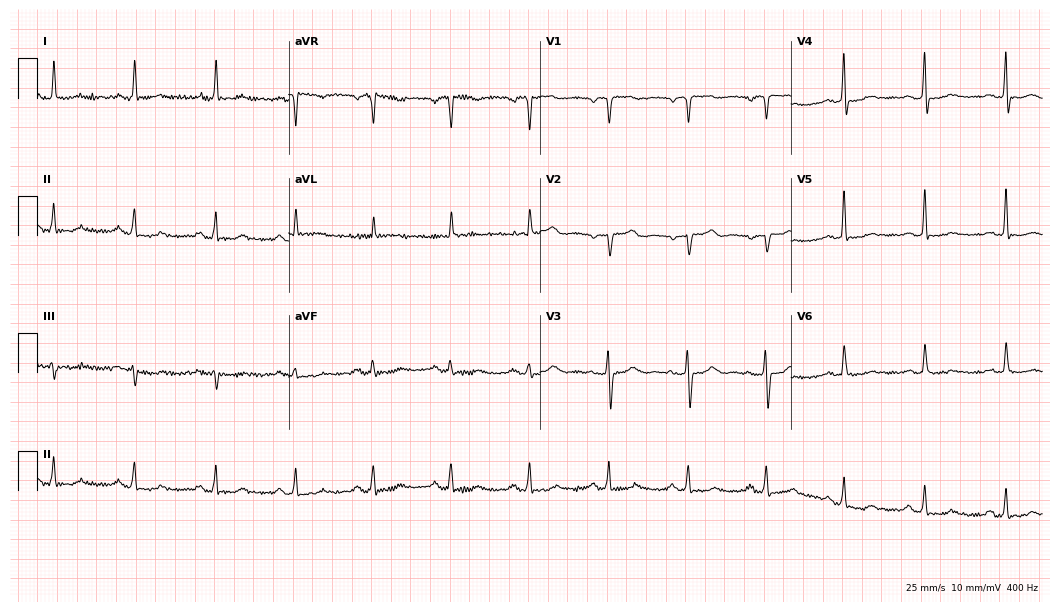
Resting 12-lead electrocardiogram. Patient: a 65-year-old female. Read as a normal ECG.